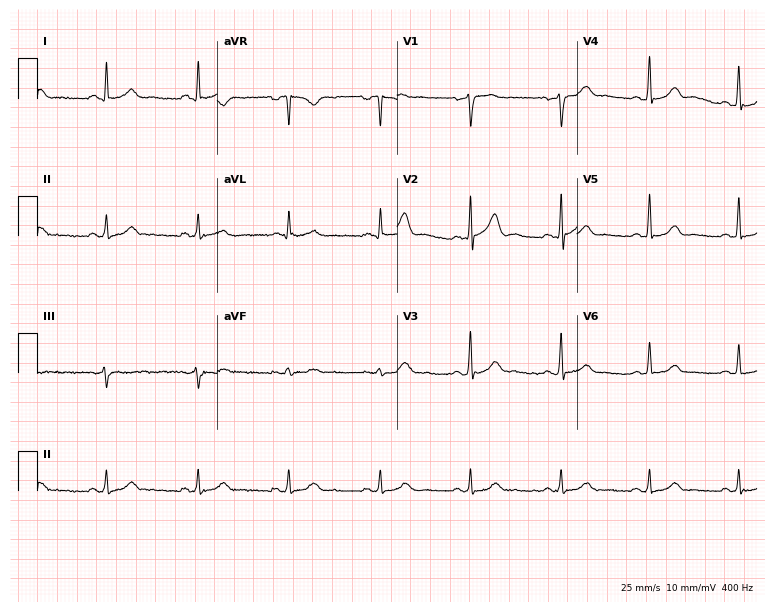
ECG (7.3-second recording at 400 Hz) — a man, 45 years old. Labelled as a normal ECG.